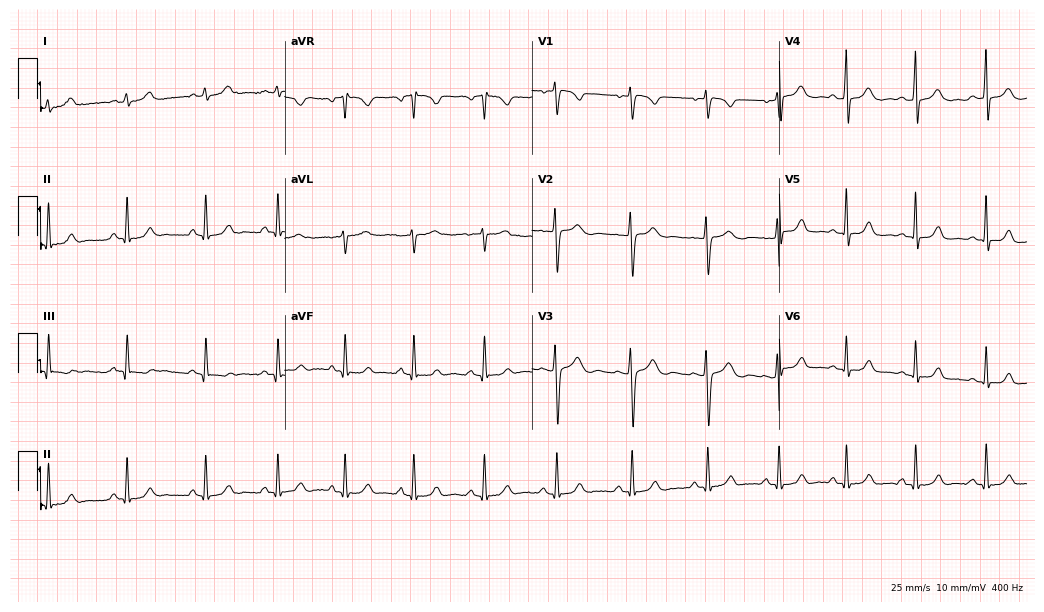
12-lead ECG from a female patient, 21 years old (10.1-second recording at 400 Hz). Recorded interpretation: within normal limits.